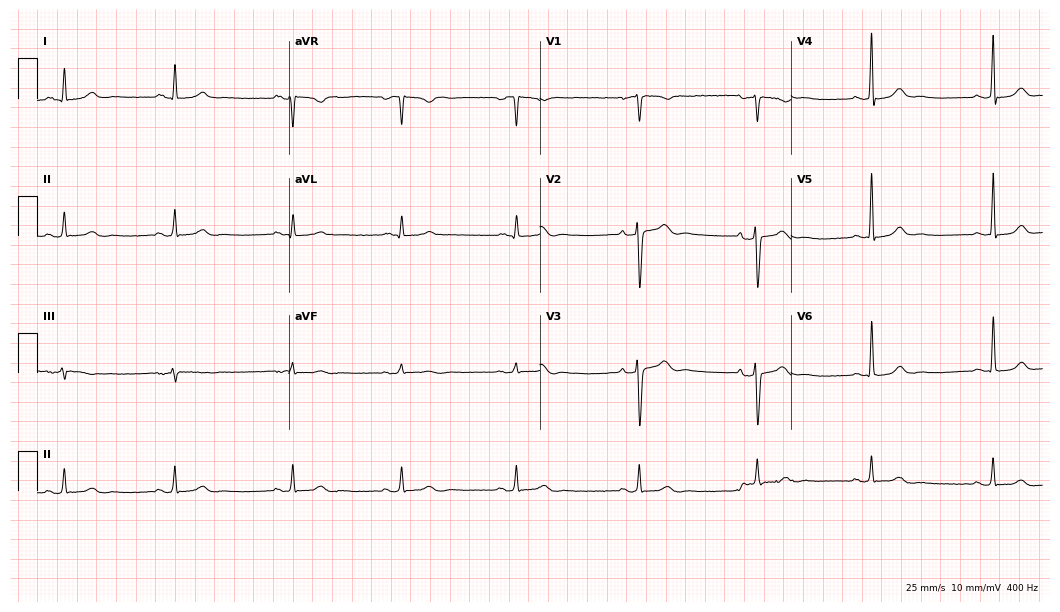
Electrocardiogram, a 36-year-old female. Of the six screened findings (first-degree AV block, right bundle branch block, left bundle branch block, sinus bradycardia, atrial fibrillation, sinus tachycardia), none is recorded.